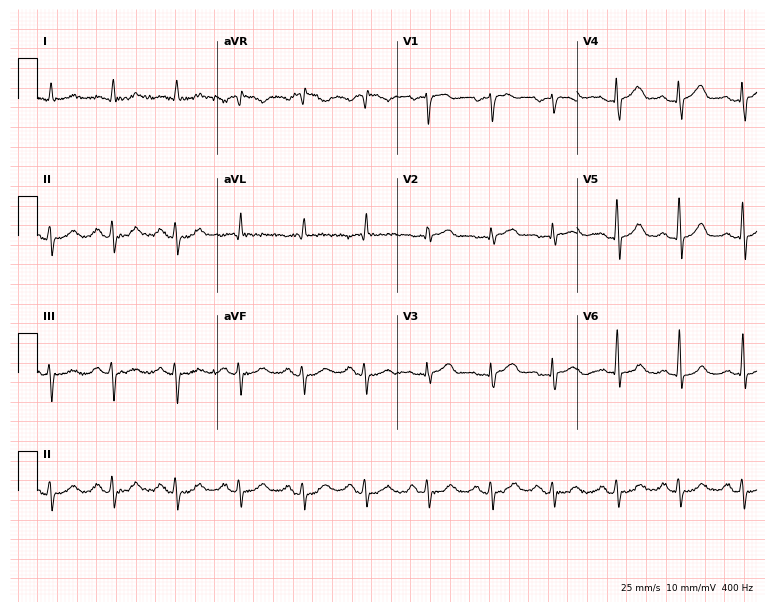
12-lead ECG from an 84-year-old man (7.3-second recording at 400 Hz). No first-degree AV block, right bundle branch block (RBBB), left bundle branch block (LBBB), sinus bradycardia, atrial fibrillation (AF) or sinus tachycardia recorded for this tracing. Other findings, if any, are not listed.